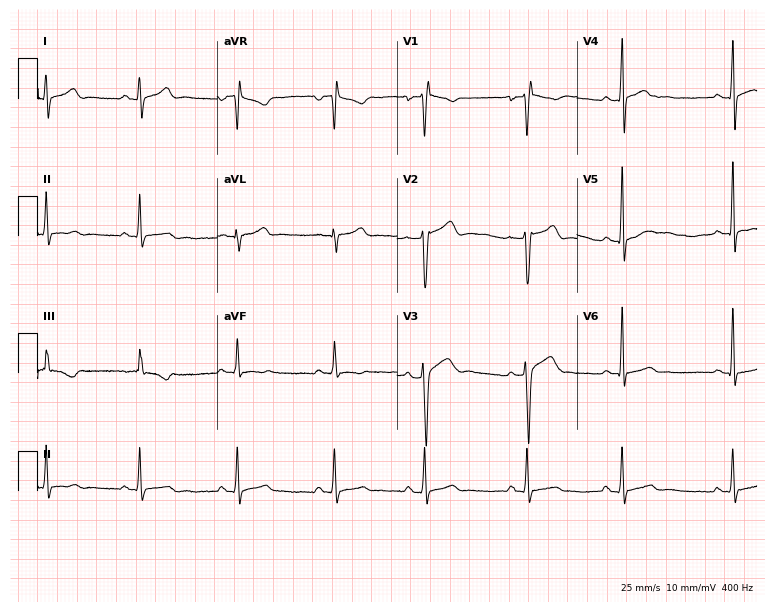
12-lead ECG (7.3-second recording at 400 Hz) from a male, 21 years old. Screened for six findings — first-degree AV block, right bundle branch block (RBBB), left bundle branch block (LBBB), sinus bradycardia, atrial fibrillation (AF), sinus tachycardia — none is recorded. Other findings, if any, are not listed.